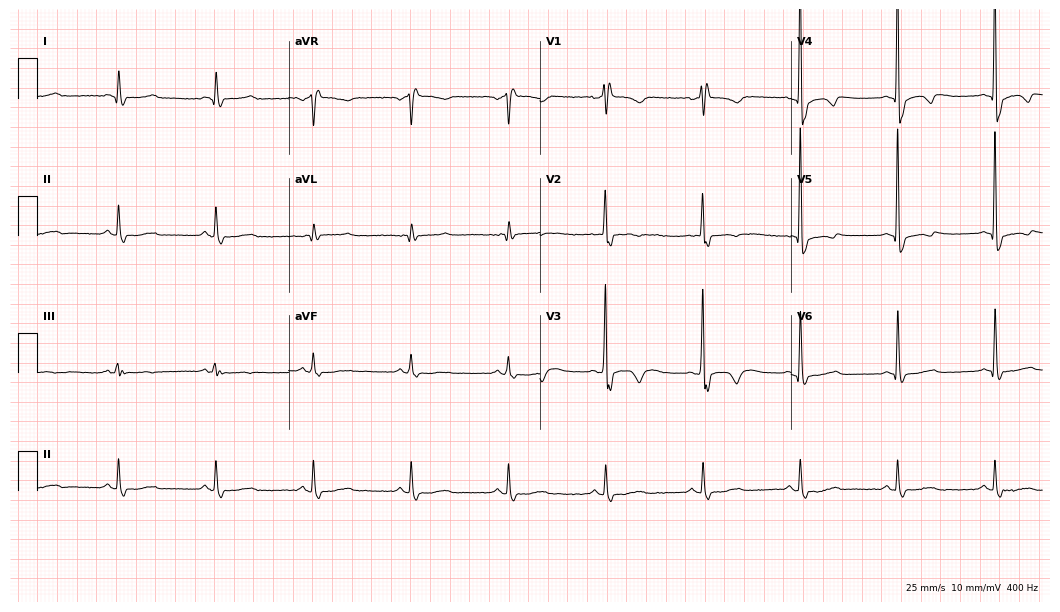
12-lead ECG from a 77-year-old female. Findings include right bundle branch block (RBBB).